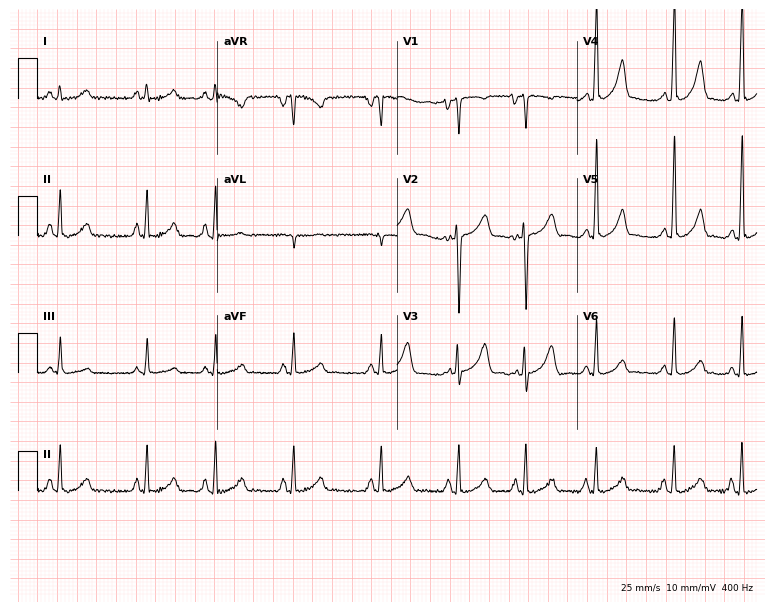
12-lead ECG from a 23-year-old woman. Screened for six findings — first-degree AV block, right bundle branch block, left bundle branch block, sinus bradycardia, atrial fibrillation, sinus tachycardia — none is recorded. Findings outside these six are not listed.